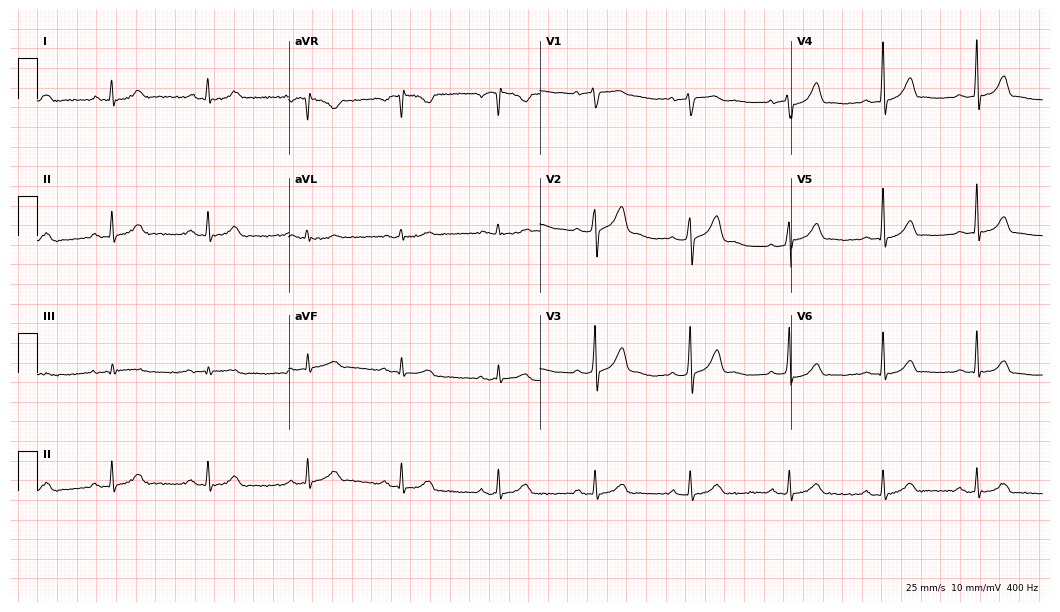
12-lead ECG from a 51-year-old male patient. Recorded interpretation: within normal limits.